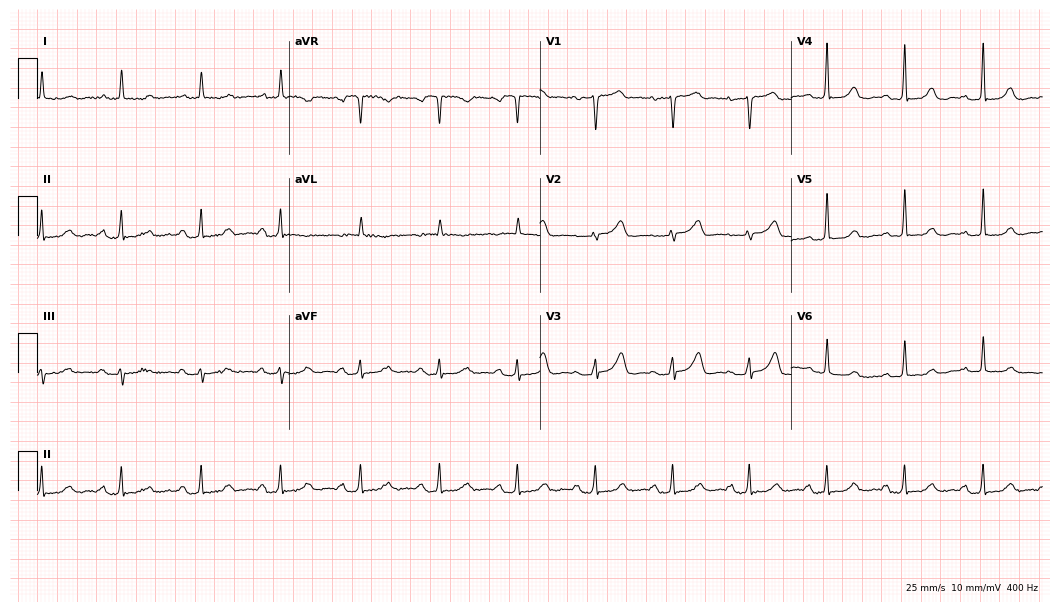
Standard 12-lead ECG recorded from a 77-year-old female patient. Read as a normal ECG.